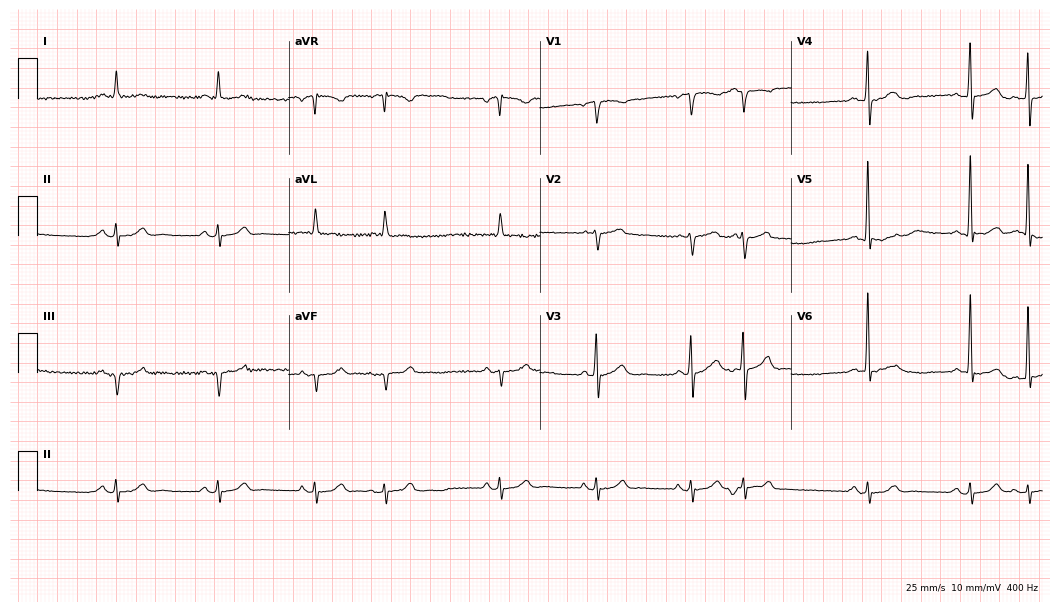
12-lead ECG from a male, 85 years old. Screened for six findings — first-degree AV block, right bundle branch block, left bundle branch block, sinus bradycardia, atrial fibrillation, sinus tachycardia — none is recorded. Findings outside these six are not listed.